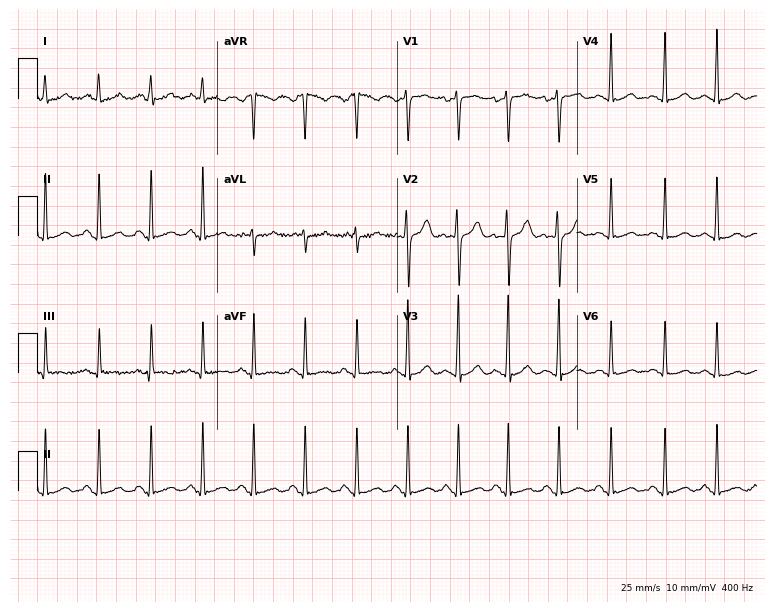
12-lead ECG from a woman, 17 years old. Findings include sinus tachycardia (a sinus rate of 100 beats per minute or more).